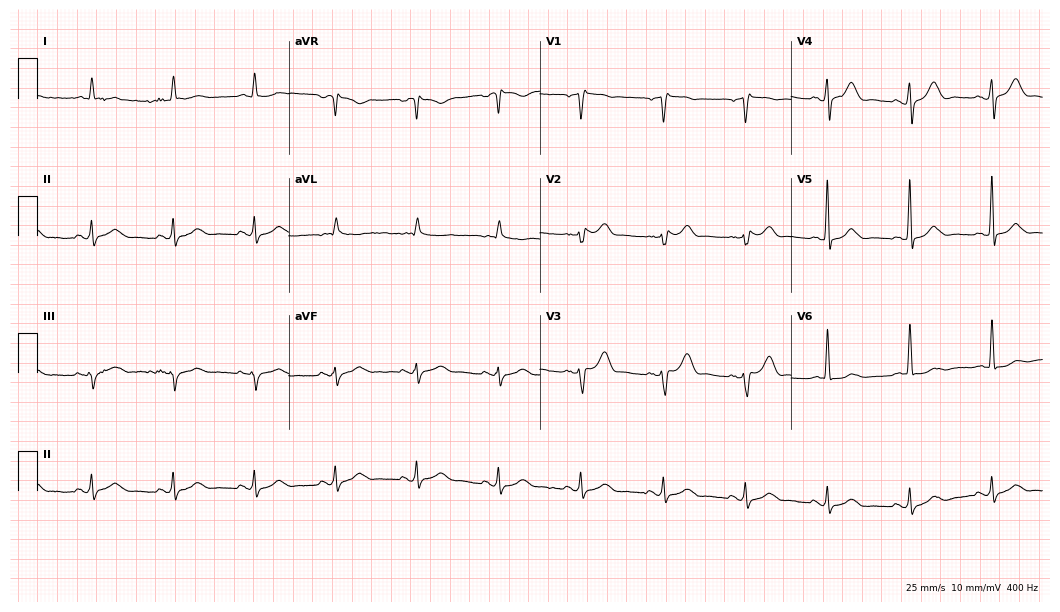
Resting 12-lead electrocardiogram. Patient: a 75-year-old male. None of these six findings is recorded: first-degree AV block, right bundle branch block, left bundle branch block, sinus bradycardia, atrial fibrillation, sinus tachycardia. Findings outside these six are not listed.